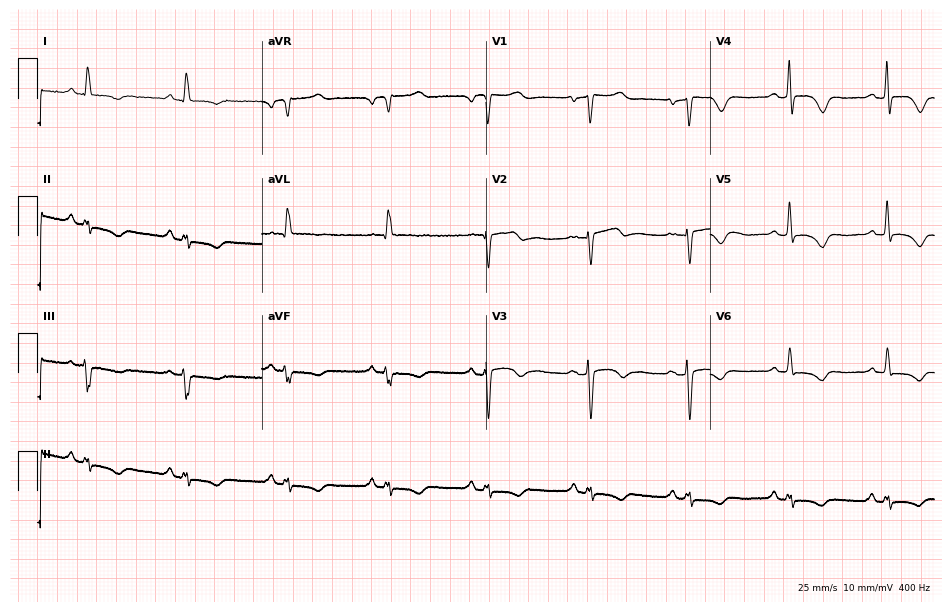
ECG (9.1-second recording at 400 Hz) — a female patient, 59 years old. Screened for six findings — first-degree AV block, right bundle branch block (RBBB), left bundle branch block (LBBB), sinus bradycardia, atrial fibrillation (AF), sinus tachycardia — none is recorded.